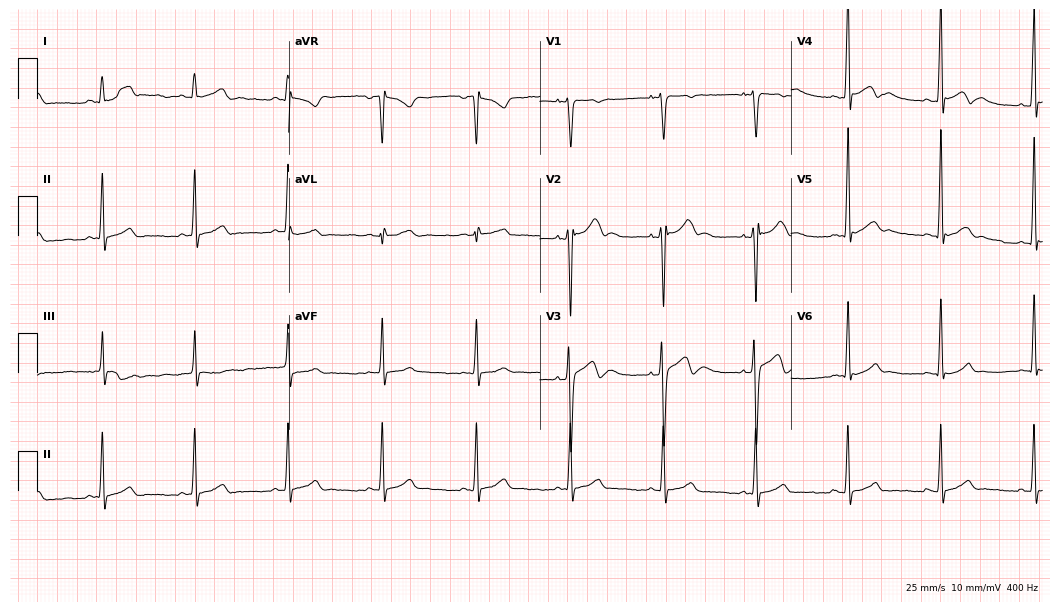
12-lead ECG (10.2-second recording at 400 Hz) from a 19-year-old male patient. Labelled as a normal ECG.